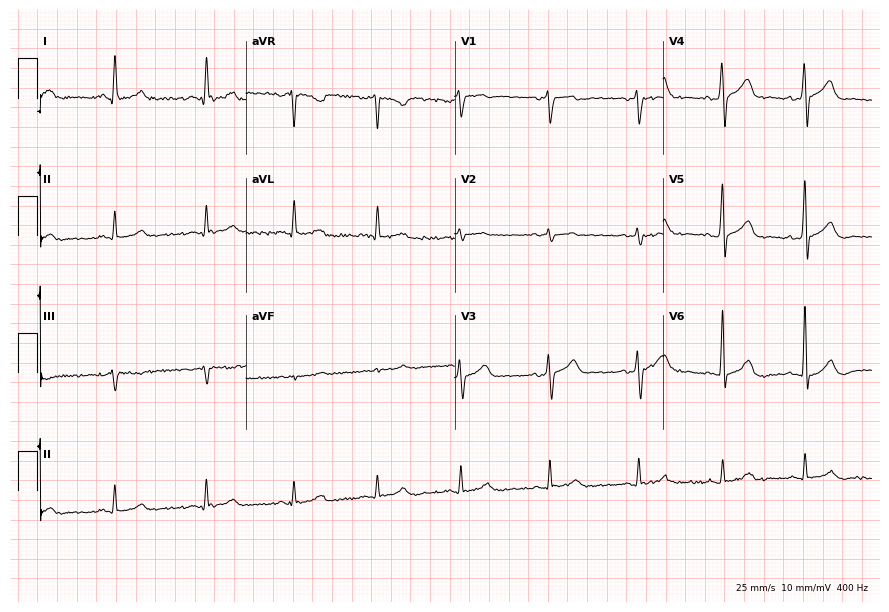
12-lead ECG from a 34-year-old male patient. Labelled as a normal ECG.